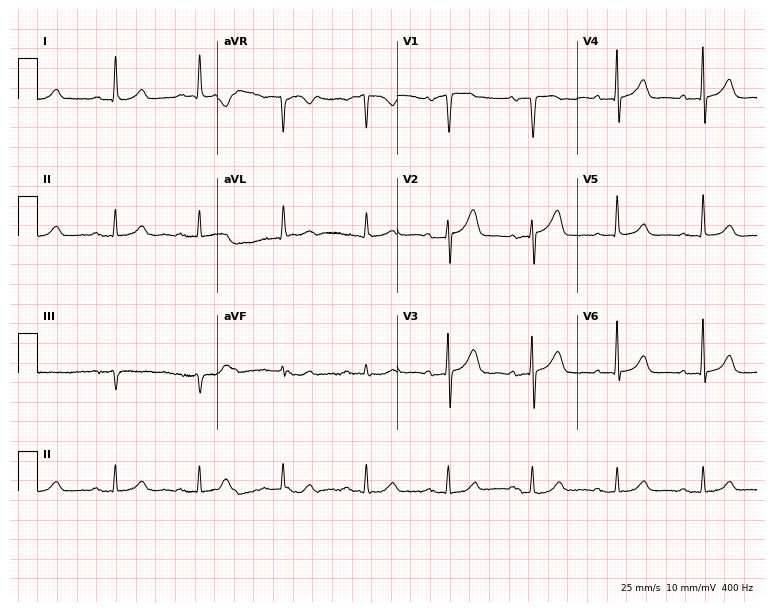
12-lead ECG from a male patient, 73 years old. Shows first-degree AV block.